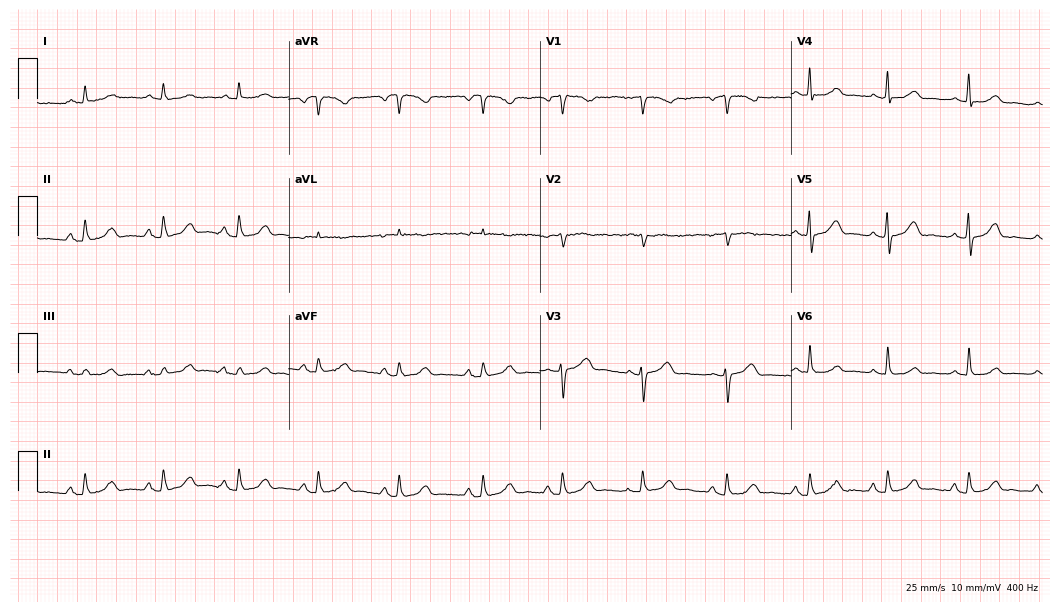
12-lead ECG from a 77-year-old female. Recorded interpretation: within normal limits.